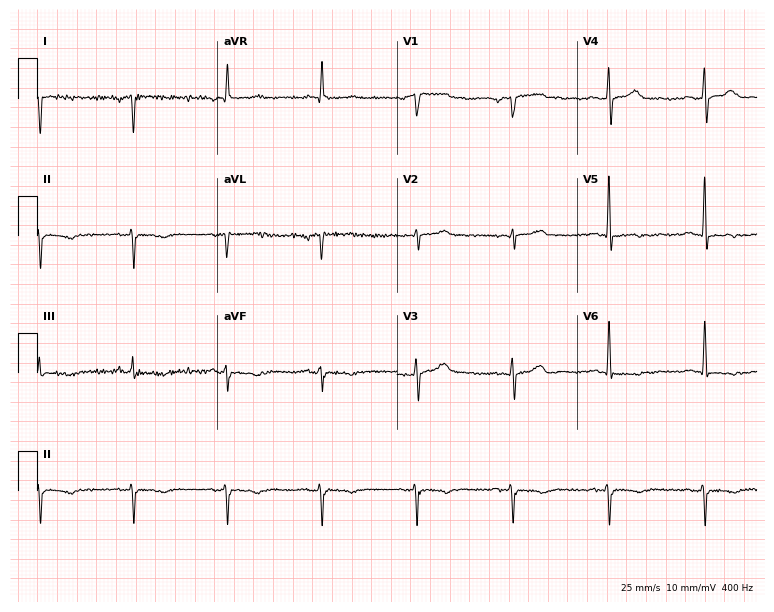
Electrocardiogram (7.3-second recording at 400 Hz), a 57-year-old male patient. Of the six screened findings (first-degree AV block, right bundle branch block, left bundle branch block, sinus bradycardia, atrial fibrillation, sinus tachycardia), none is recorded. Other findings, if any, are not listed.